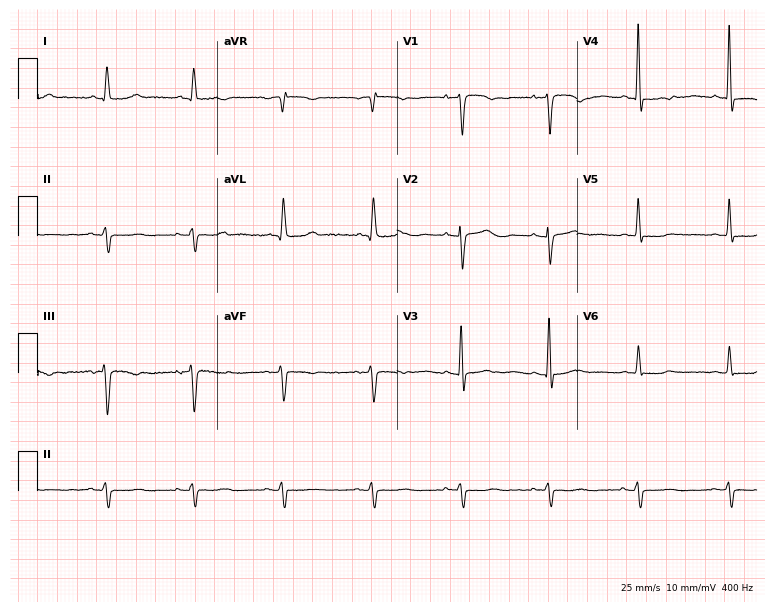
Resting 12-lead electrocardiogram (7.3-second recording at 400 Hz). Patient: a woman, 81 years old. None of these six findings is recorded: first-degree AV block, right bundle branch block, left bundle branch block, sinus bradycardia, atrial fibrillation, sinus tachycardia.